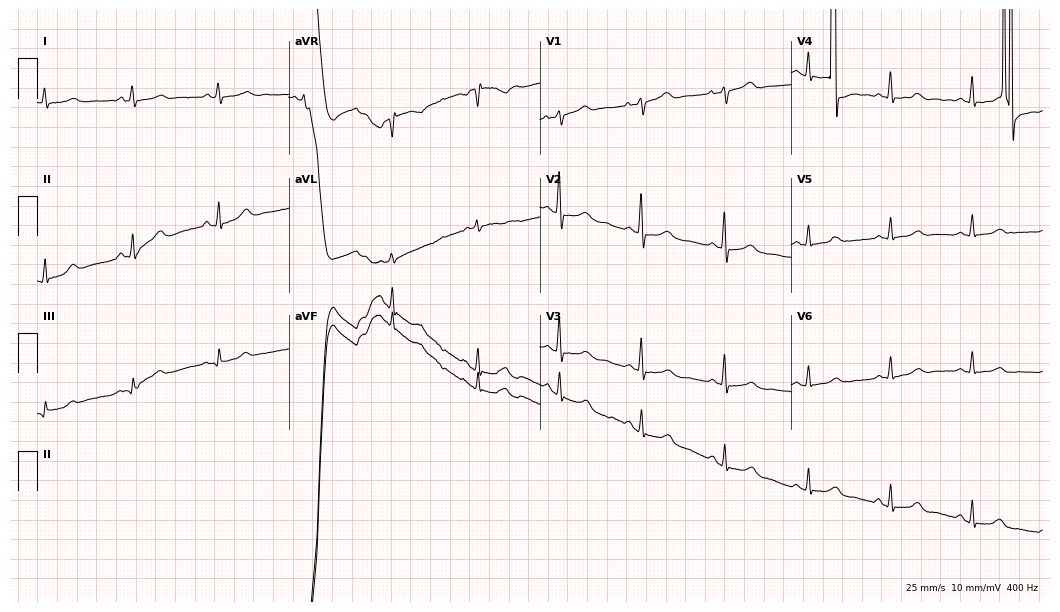
12-lead ECG (10.2-second recording at 400 Hz) from a woman, 57 years old. Screened for six findings — first-degree AV block, right bundle branch block, left bundle branch block, sinus bradycardia, atrial fibrillation, sinus tachycardia — none is recorded.